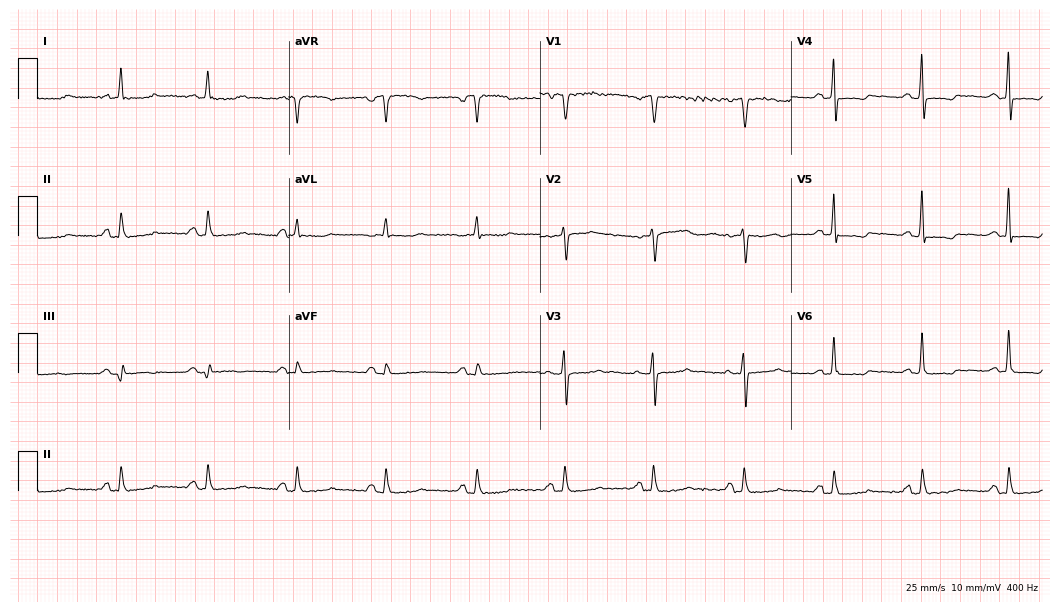
12-lead ECG (10.2-second recording at 400 Hz) from a 56-year-old female. Screened for six findings — first-degree AV block, right bundle branch block, left bundle branch block, sinus bradycardia, atrial fibrillation, sinus tachycardia — none is recorded.